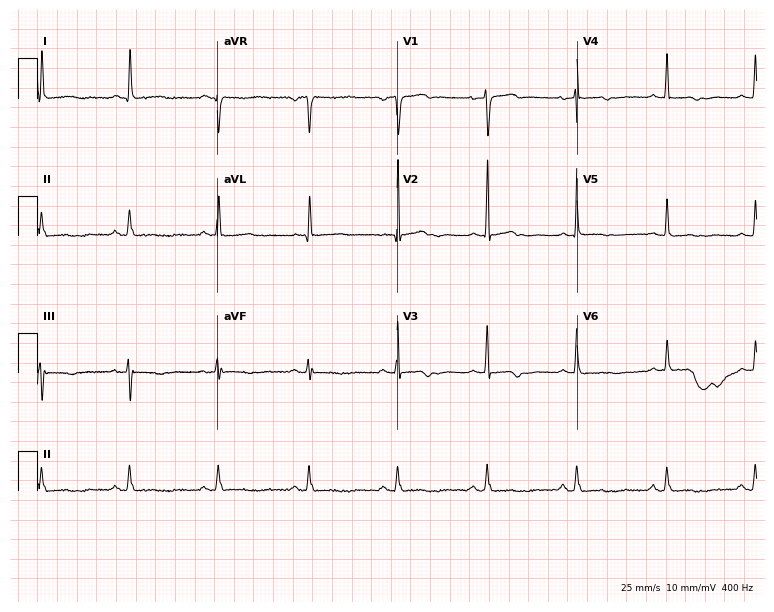
12-lead ECG from a 54-year-old female. No first-degree AV block, right bundle branch block, left bundle branch block, sinus bradycardia, atrial fibrillation or sinus tachycardia recorded for this tracing.